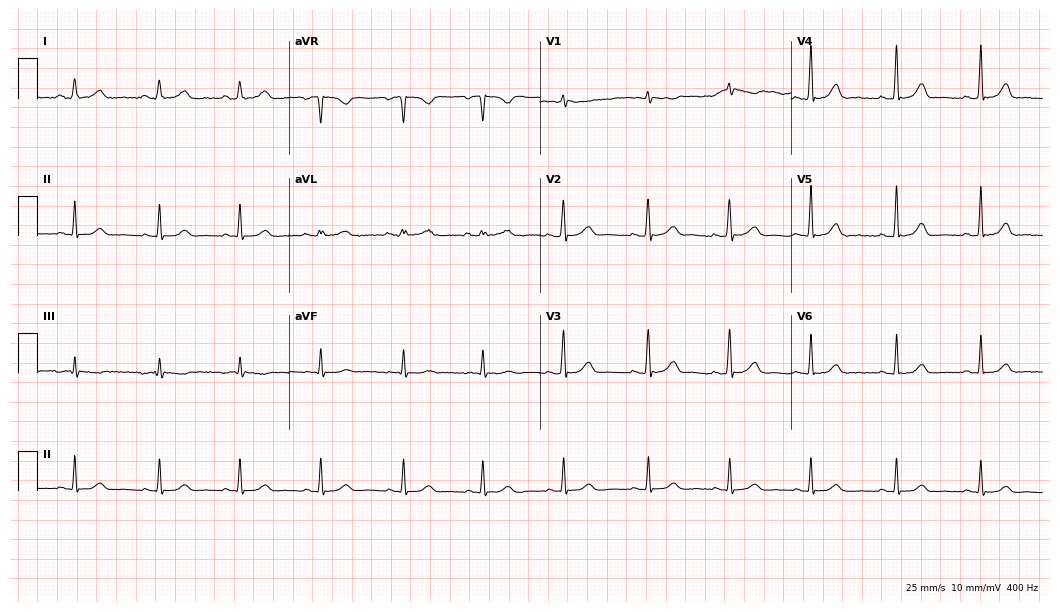
ECG (10.2-second recording at 400 Hz) — a 39-year-old female. Labelled as a normal ECG.